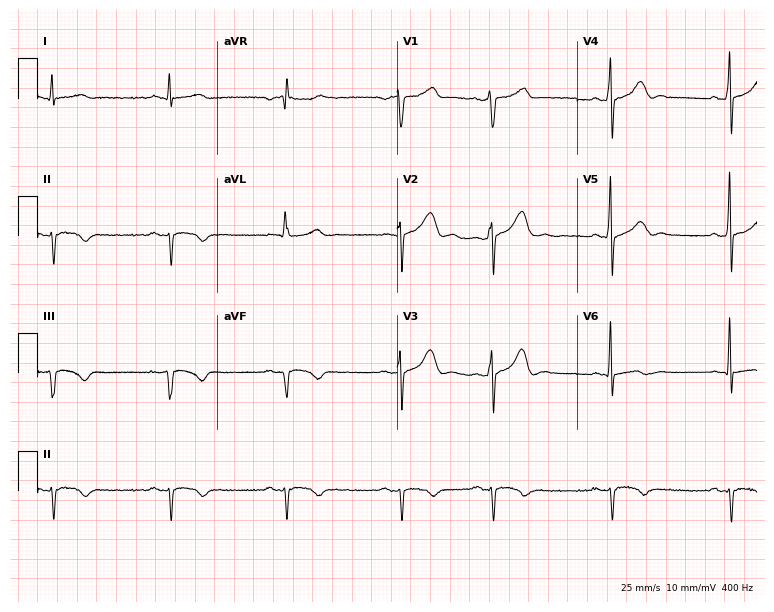
Electrocardiogram, a male patient, 28 years old. Of the six screened findings (first-degree AV block, right bundle branch block, left bundle branch block, sinus bradycardia, atrial fibrillation, sinus tachycardia), none is recorded.